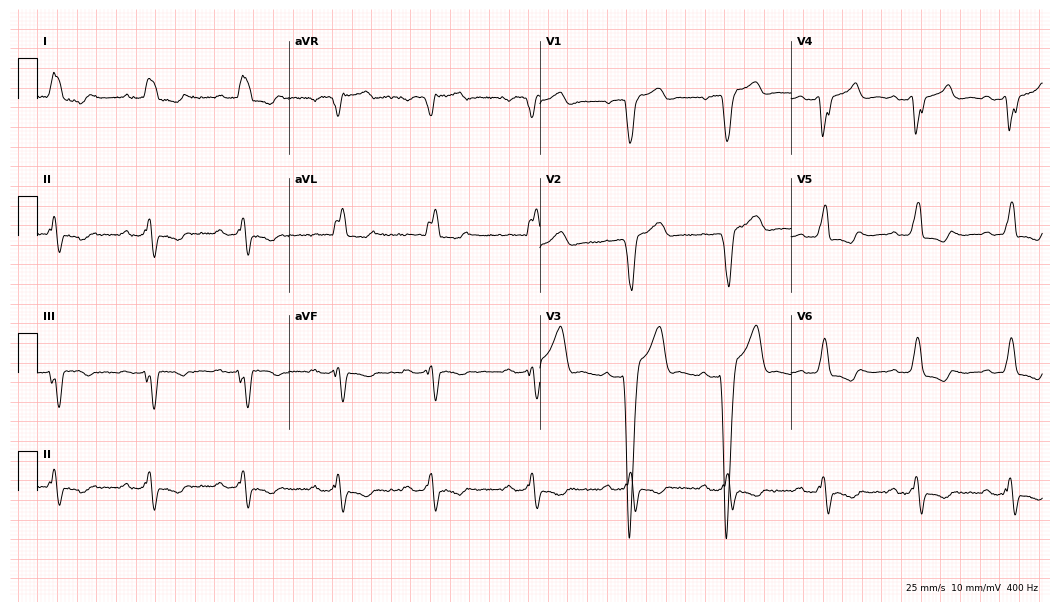
12-lead ECG from a 74-year-old male patient. Findings include left bundle branch block.